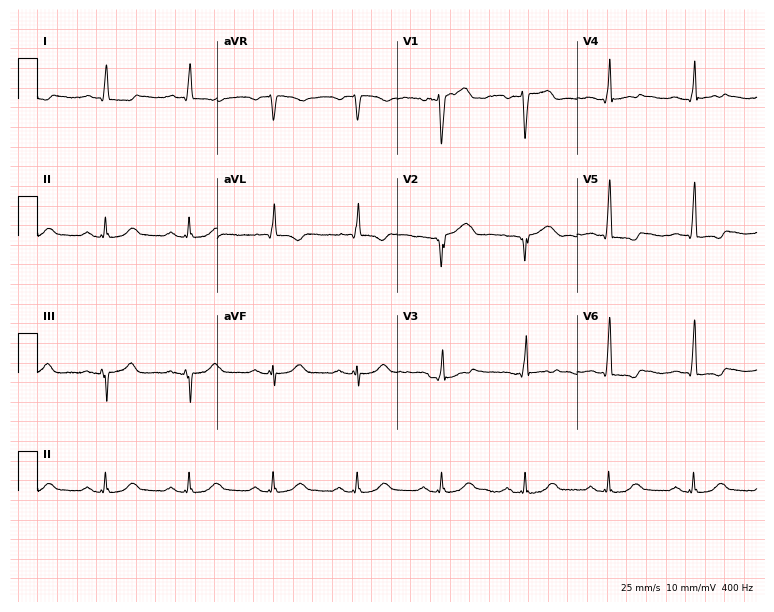
12-lead ECG from a male patient, 77 years old. No first-degree AV block, right bundle branch block (RBBB), left bundle branch block (LBBB), sinus bradycardia, atrial fibrillation (AF) or sinus tachycardia recorded for this tracing. Other findings, if any, are not listed.